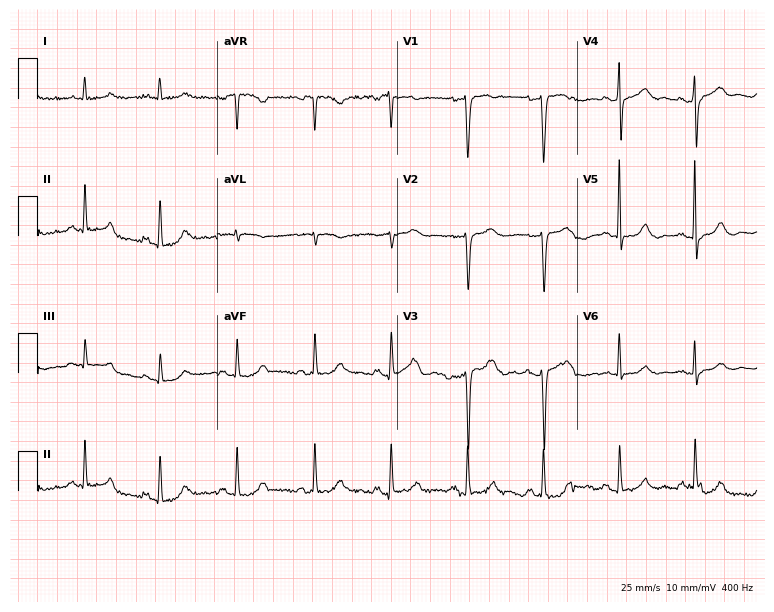
12-lead ECG (7.3-second recording at 400 Hz) from a female patient, 58 years old. Screened for six findings — first-degree AV block, right bundle branch block, left bundle branch block, sinus bradycardia, atrial fibrillation, sinus tachycardia — none is recorded.